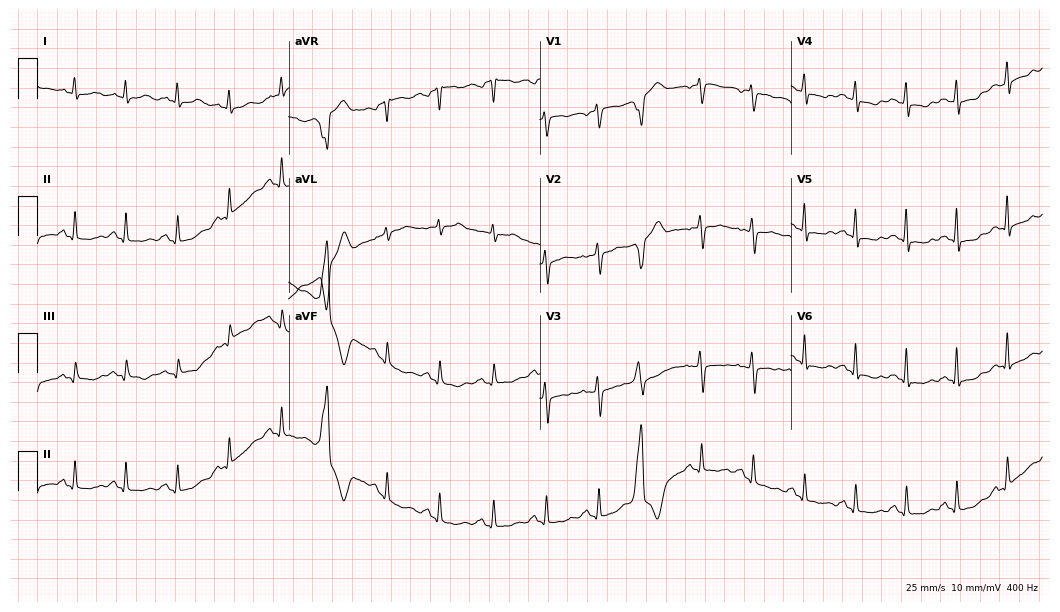
12-lead ECG from a female patient, 41 years old. Shows sinus tachycardia (a sinus rate of 100 beats per minute or more).